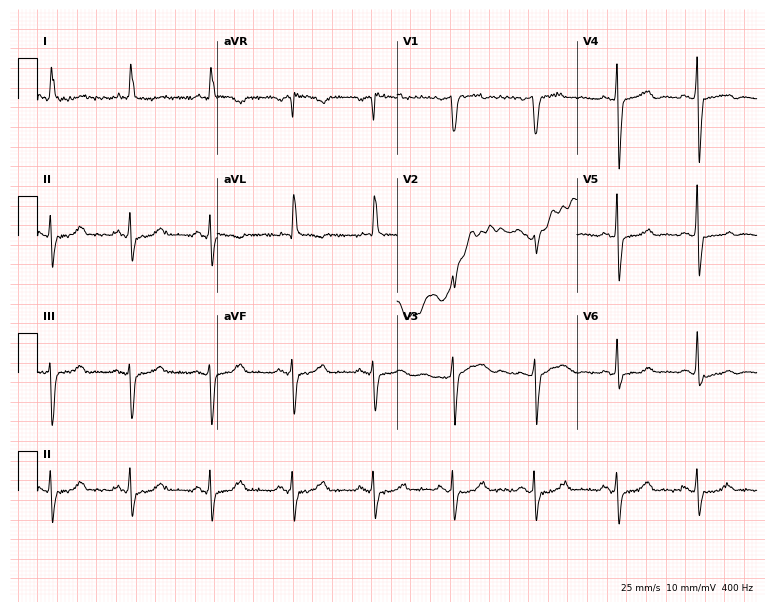
Standard 12-lead ECG recorded from a woman, 84 years old (7.3-second recording at 400 Hz). None of these six findings is recorded: first-degree AV block, right bundle branch block (RBBB), left bundle branch block (LBBB), sinus bradycardia, atrial fibrillation (AF), sinus tachycardia.